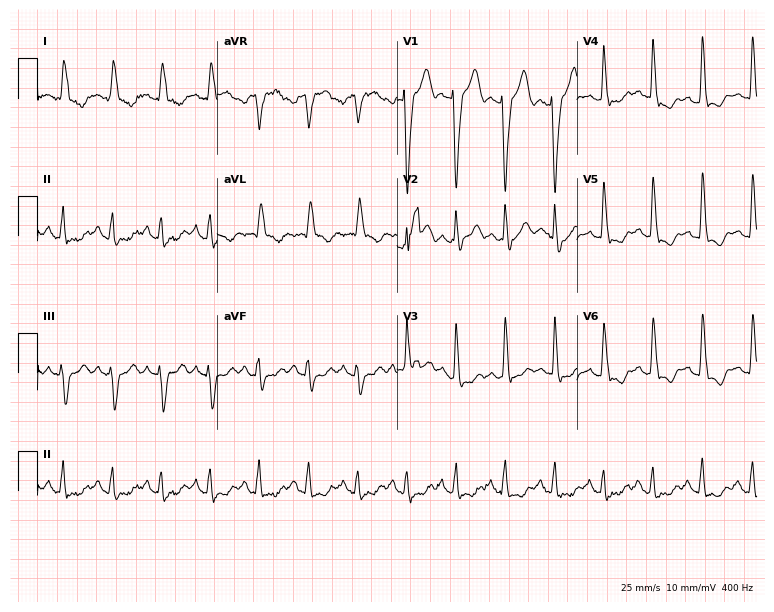
Standard 12-lead ECG recorded from a 65-year-old woman (7.3-second recording at 400 Hz). The tracing shows sinus tachycardia (a sinus rate of 100 beats per minute or more).